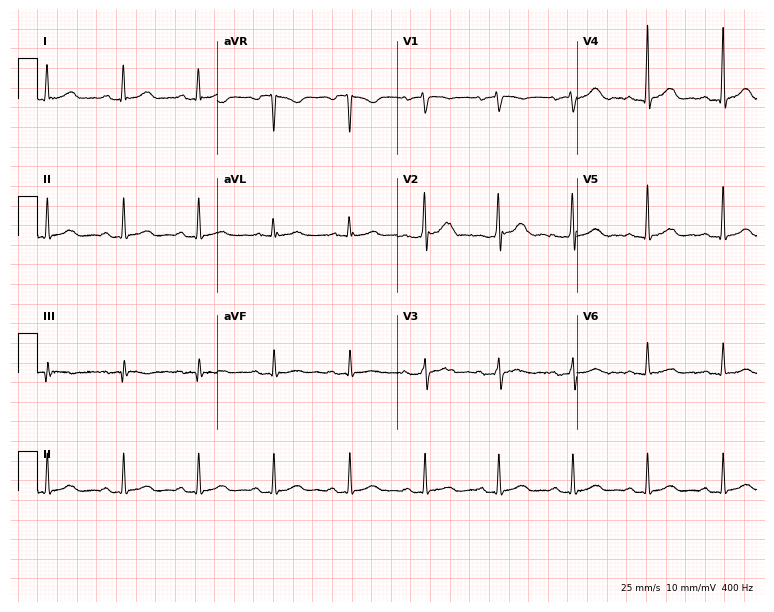
12-lead ECG from a 57-year-old woman (7.3-second recording at 400 Hz). Recorded interpretation: within normal limits.